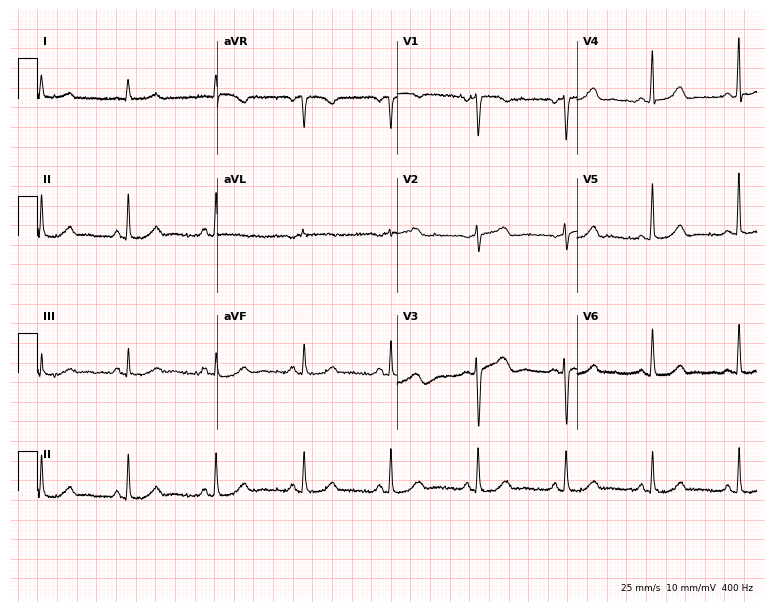
12-lead ECG from a 79-year-old female (7.3-second recording at 400 Hz). Recorded interpretation: within normal limits.